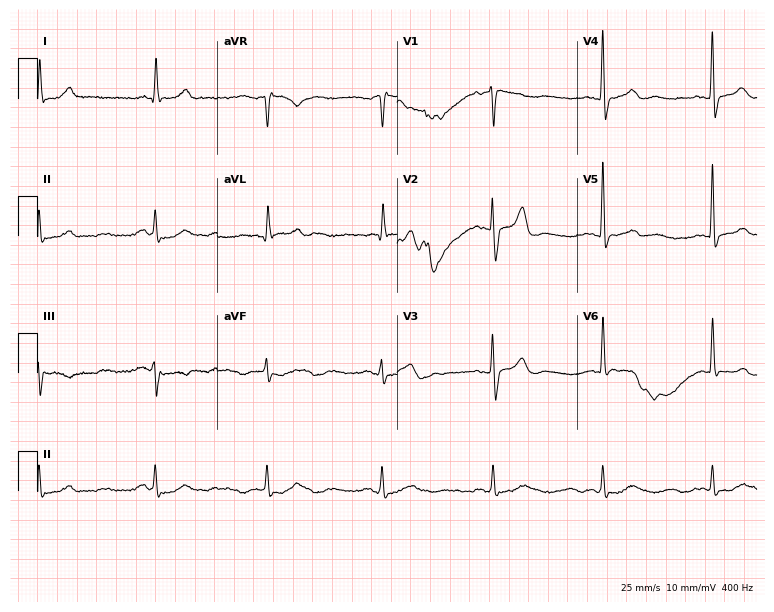
12-lead ECG from a male, 75 years old. Recorded interpretation: within normal limits.